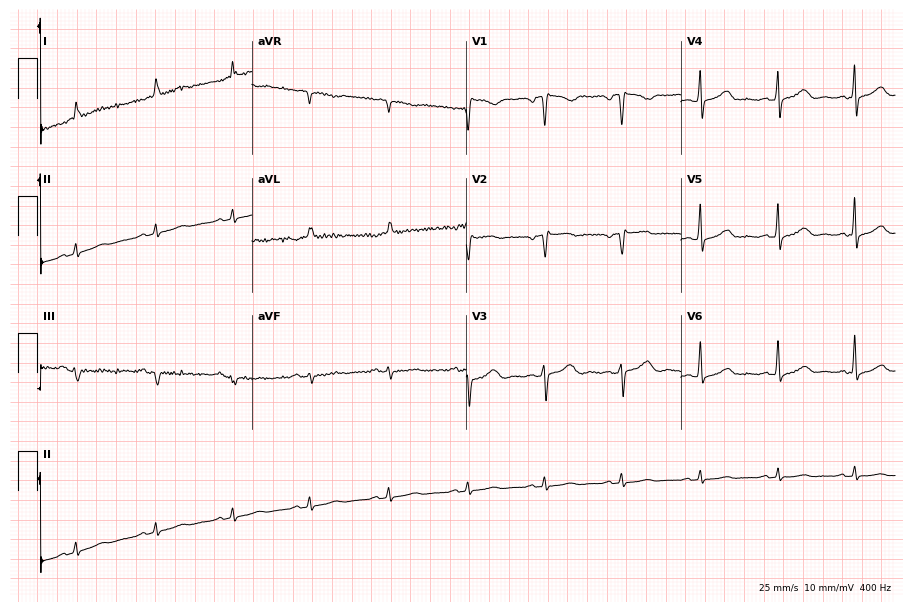
Resting 12-lead electrocardiogram. Patient: a female, 67 years old. None of these six findings is recorded: first-degree AV block, right bundle branch block, left bundle branch block, sinus bradycardia, atrial fibrillation, sinus tachycardia. Other findings, if any, are not listed.